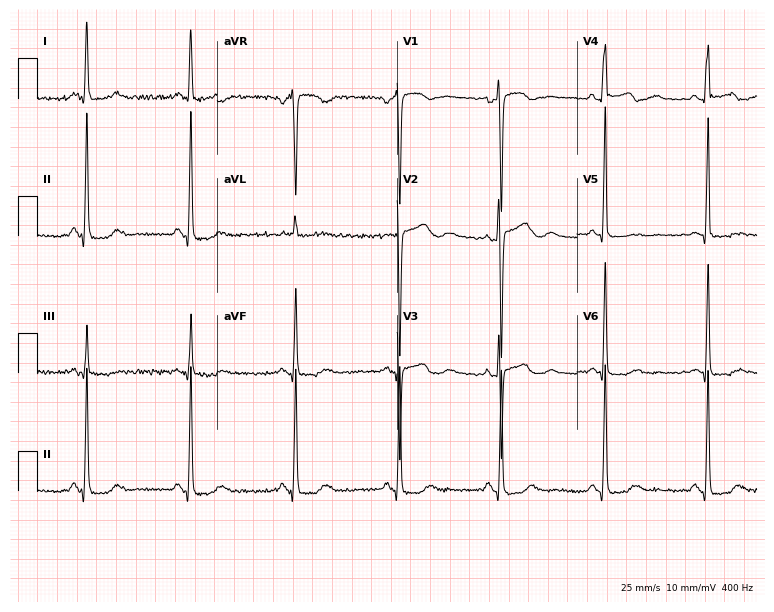
12-lead ECG from a woman, 50 years old. No first-degree AV block, right bundle branch block (RBBB), left bundle branch block (LBBB), sinus bradycardia, atrial fibrillation (AF) or sinus tachycardia recorded for this tracing. Only these six findings were labelled.